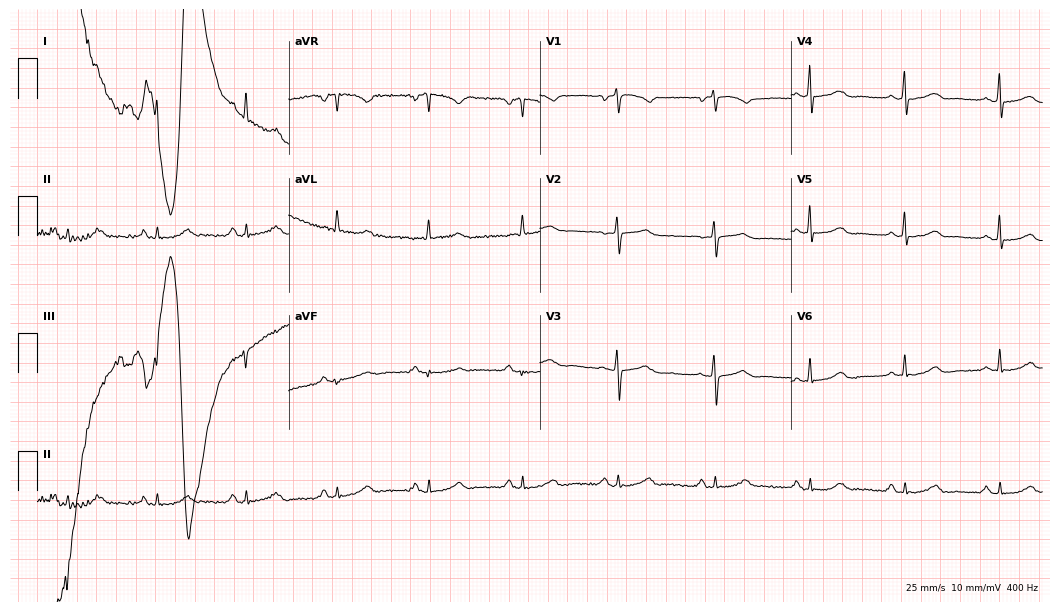
Electrocardiogram (10.2-second recording at 400 Hz), a 58-year-old man. Of the six screened findings (first-degree AV block, right bundle branch block (RBBB), left bundle branch block (LBBB), sinus bradycardia, atrial fibrillation (AF), sinus tachycardia), none is recorded.